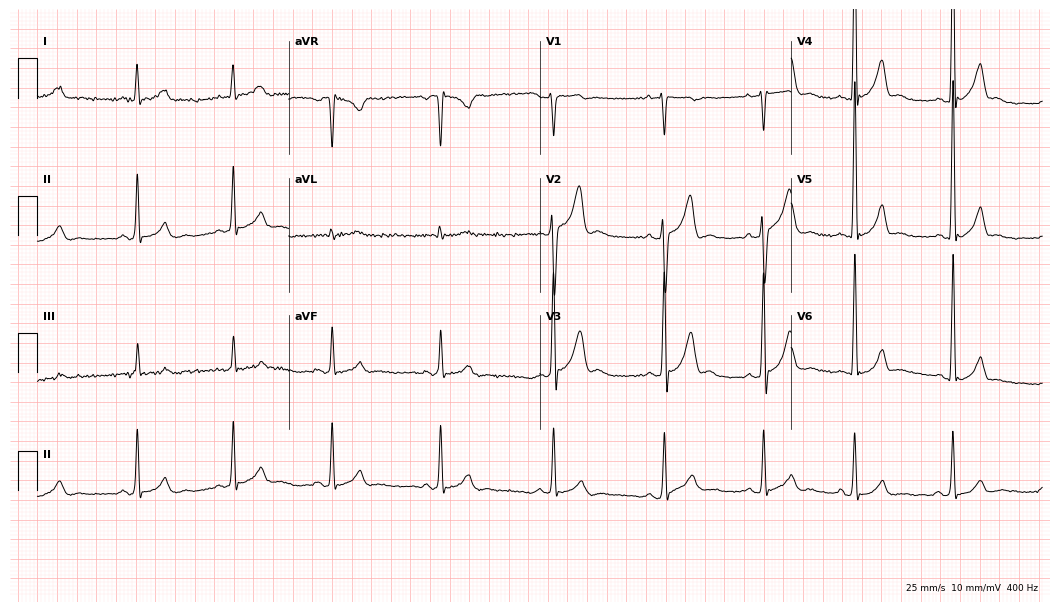
Standard 12-lead ECG recorded from a male, 25 years old. Read as a normal ECG.